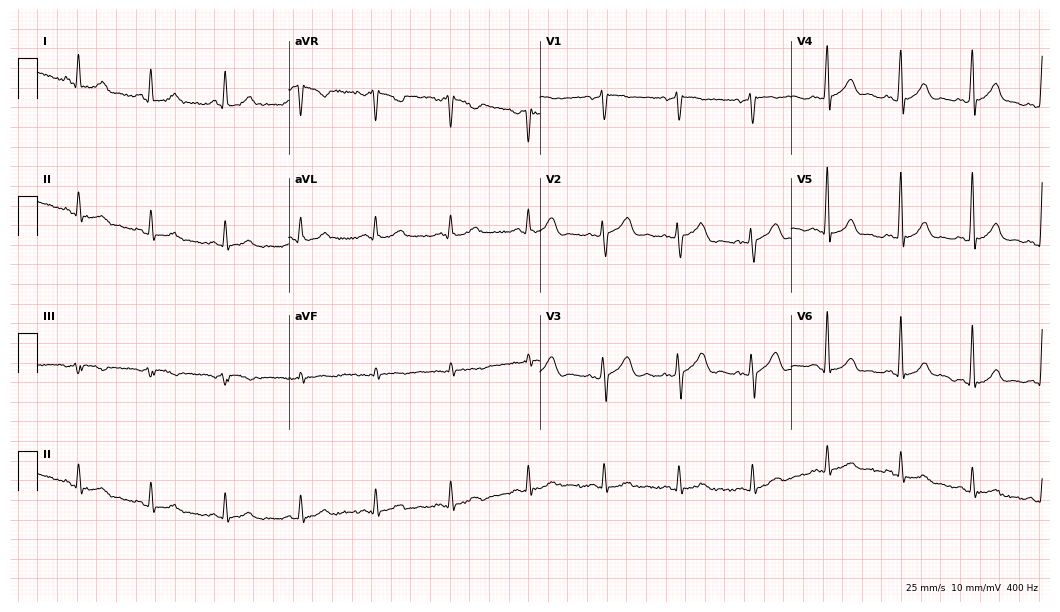
ECG — a man, 33 years old. Labelled as a normal ECG.